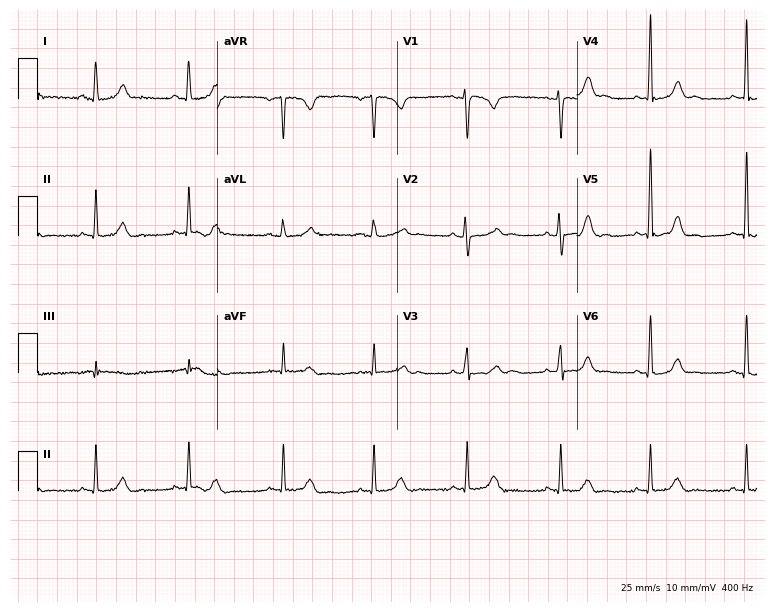
12-lead ECG from a 39-year-old woman. Recorded interpretation: within normal limits.